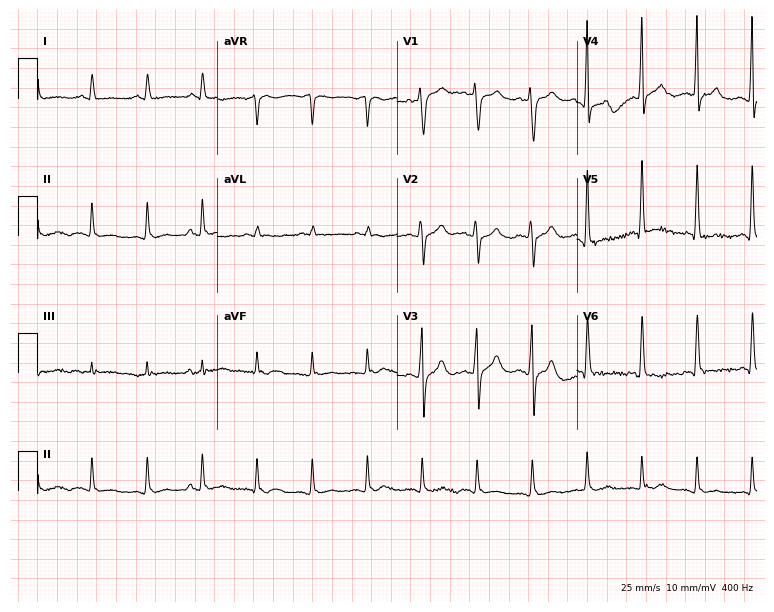
Resting 12-lead electrocardiogram. Patient: a male, 54 years old. The tracing shows sinus tachycardia (a sinus rate of 100 beats per minute or more).